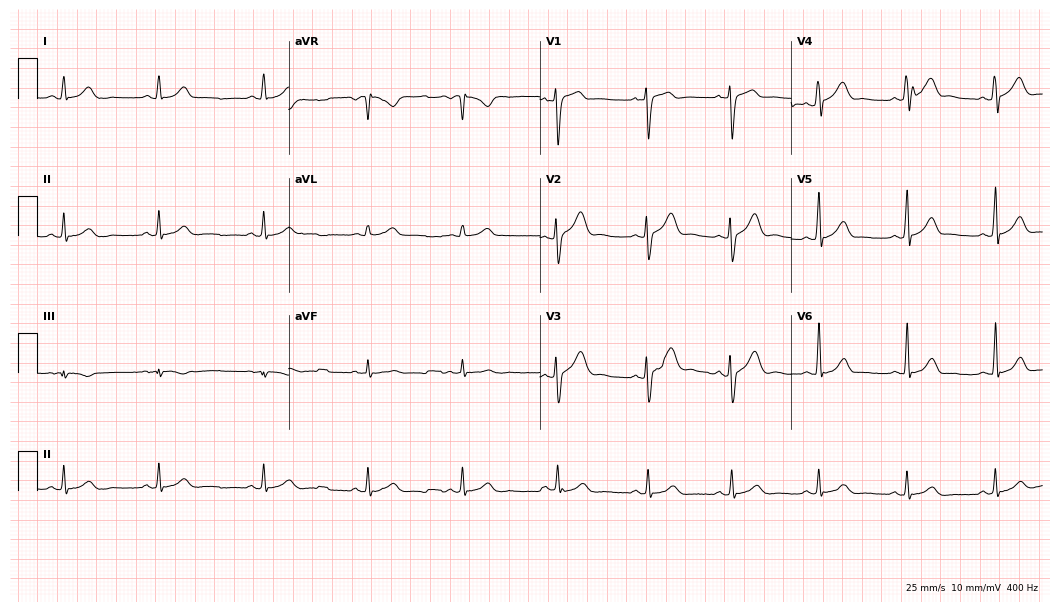
12-lead ECG (10.2-second recording at 400 Hz) from a man, 26 years old. Screened for six findings — first-degree AV block, right bundle branch block (RBBB), left bundle branch block (LBBB), sinus bradycardia, atrial fibrillation (AF), sinus tachycardia — none is recorded.